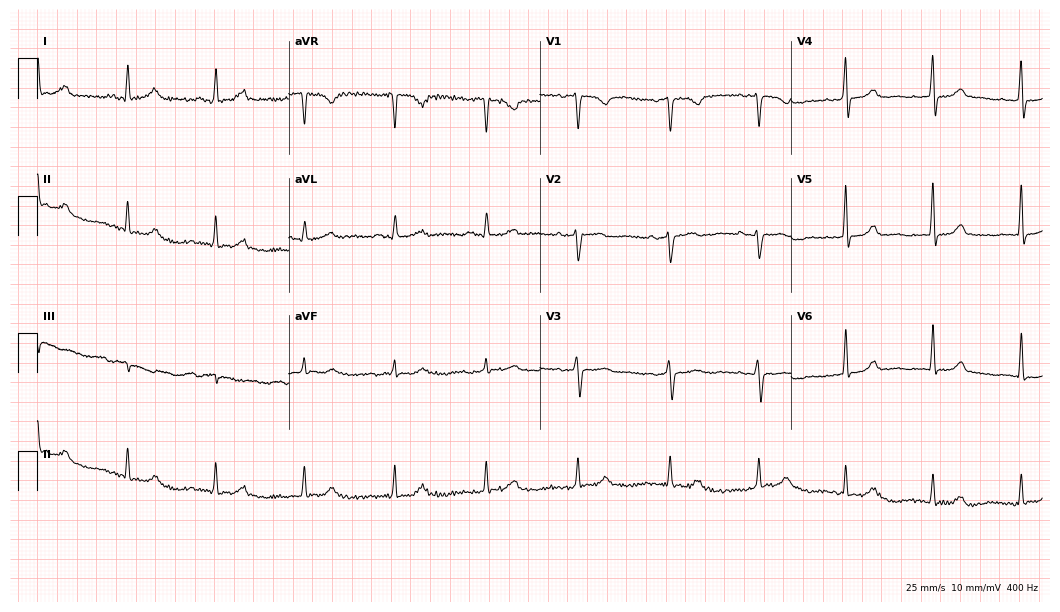
ECG — a 56-year-old female. Labelled as a normal ECG.